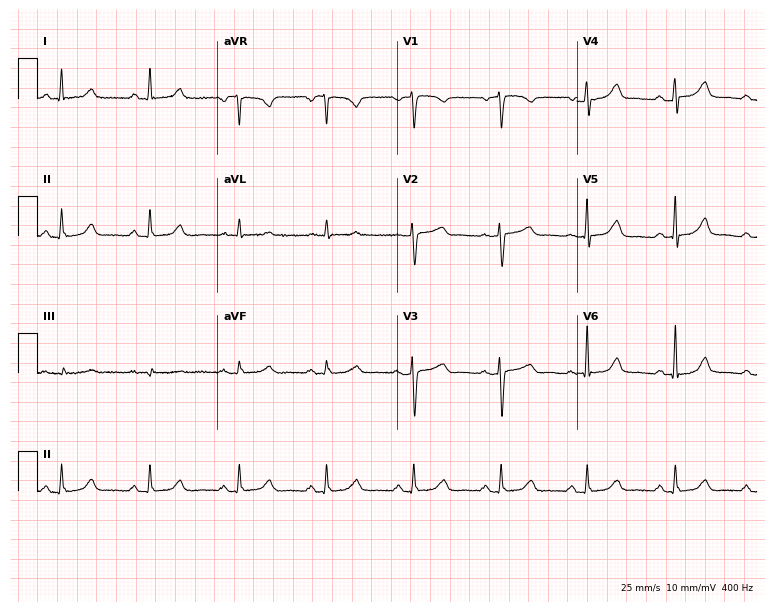
ECG — a female, 54 years old. Labelled as a normal ECG.